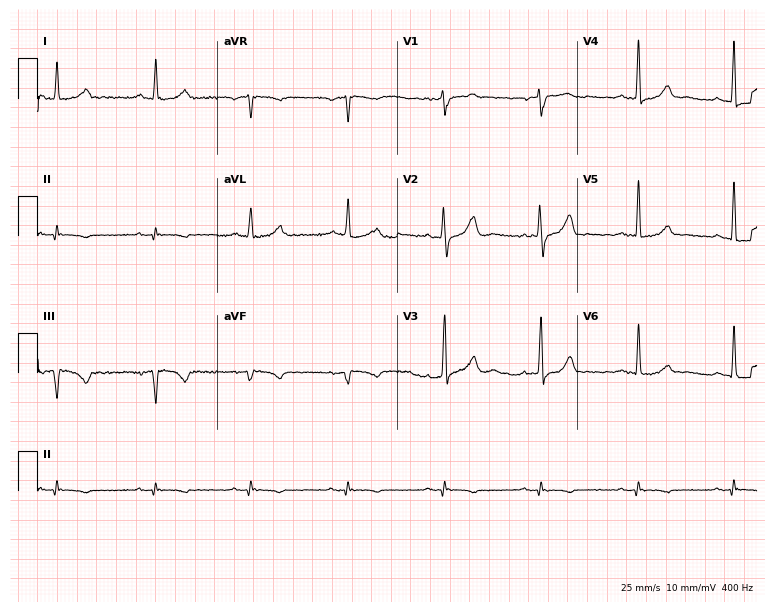
Standard 12-lead ECG recorded from a 74-year-old male. Read as a normal ECG.